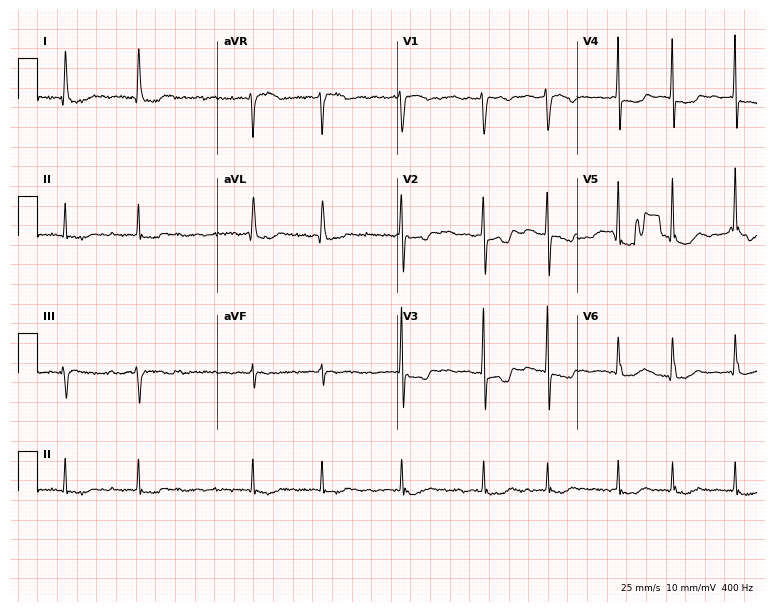
Resting 12-lead electrocardiogram. Patient: a 66-year-old female. The tracing shows atrial fibrillation.